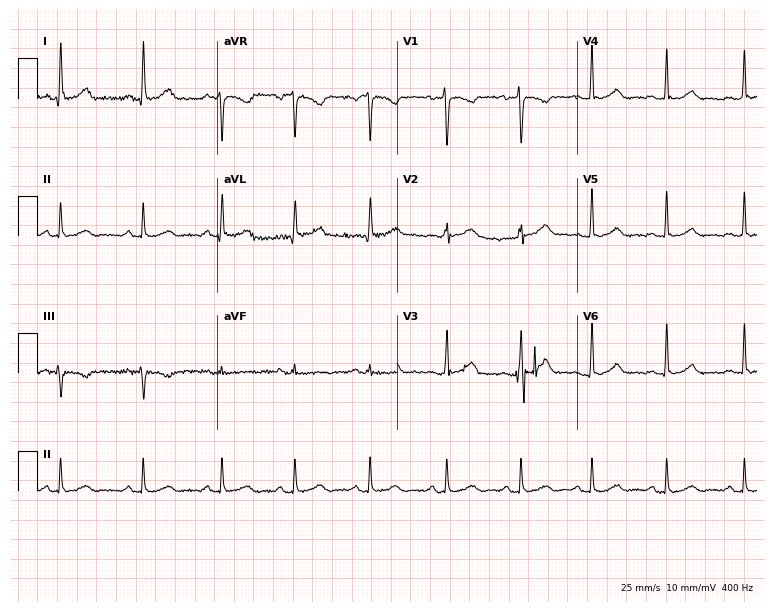
12-lead ECG from a 41-year-old female patient (7.3-second recording at 400 Hz). No first-degree AV block, right bundle branch block, left bundle branch block, sinus bradycardia, atrial fibrillation or sinus tachycardia recorded for this tracing. Findings outside these six are not listed.